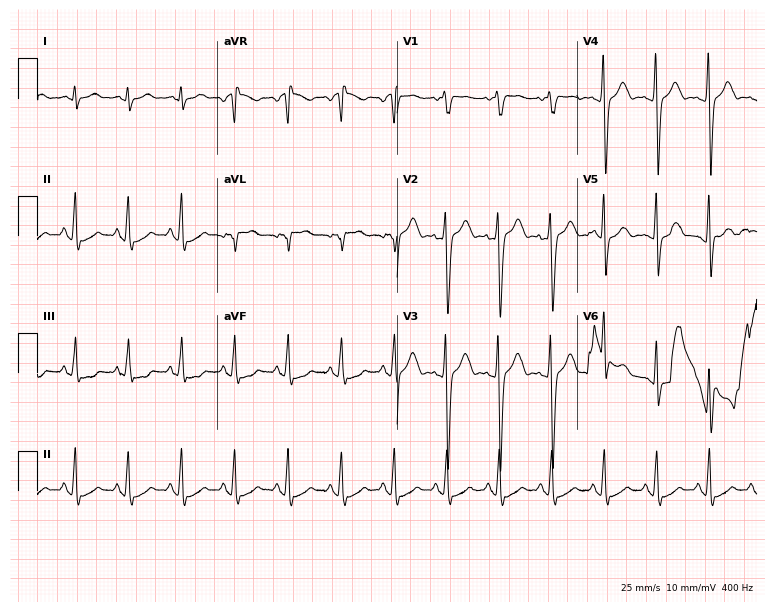
12-lead ECG from a man, 22 years old (7.3-second recording at 400 Hz). No first-degree AV block, right bundle branch block (RBBB), left bundle branch block (LBBB), sinus bradycardia, atrial fibrillation (AF) or sinus tachycardia recorded for this tracing.